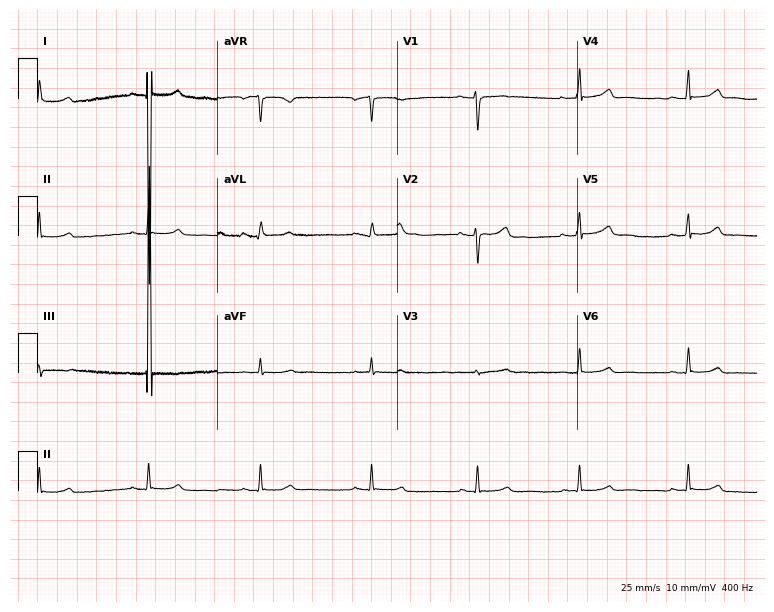
ECG (7.3-second recording at 400 Hz) — a 35-year-old woman. Screened for six findings — first-degree AV block, right bundle branch block, left bundle branch block, sinus bradycardia, atrial fibrillation, sinus tachycardia — none is recorded. Only these six findings were labelled.